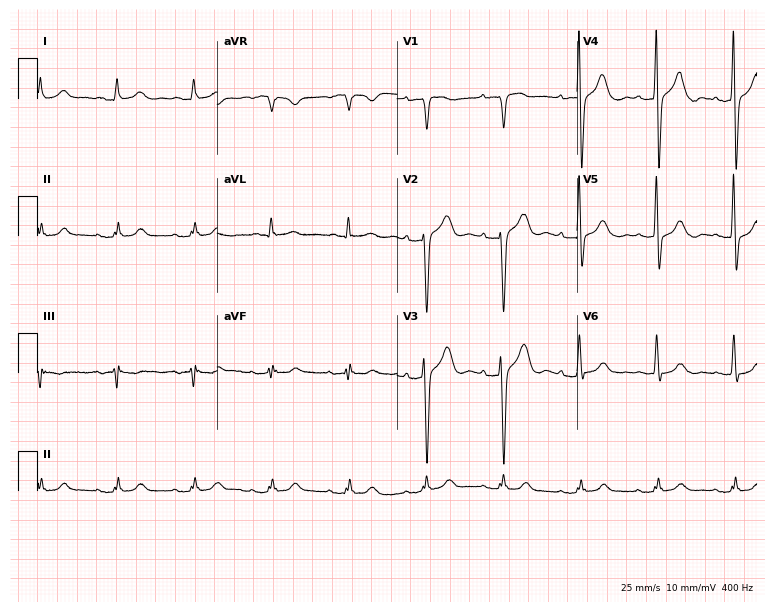
12-lead ECG from a 63-year-old man. Recorded interpretation: within normal limits.